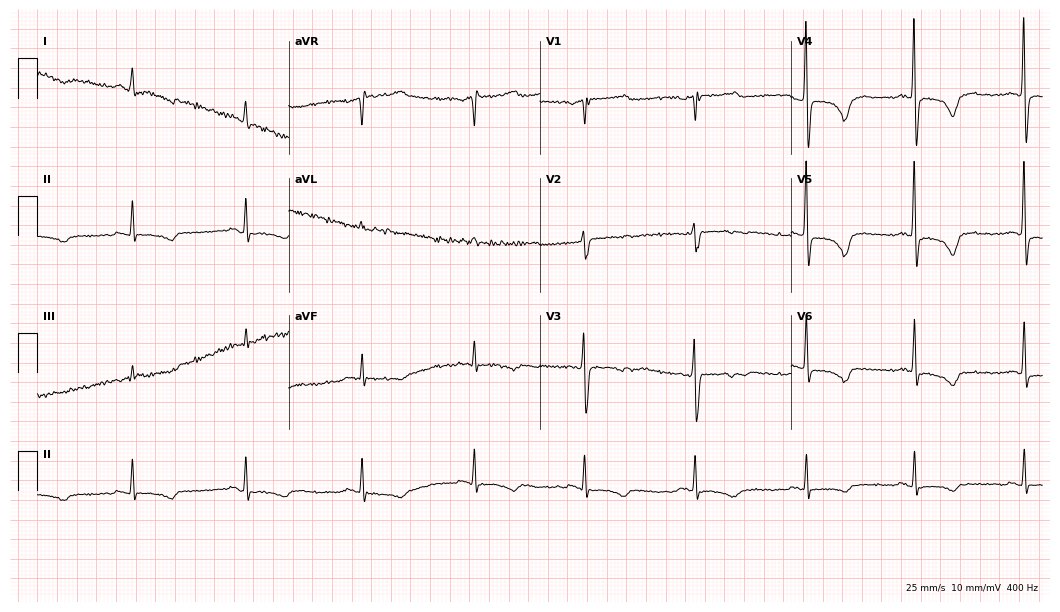
Electrocardiogram, a man, 65 years old. Of the six screened findings (first-degree AV block, right bundle branch block (RBBB), left bundle branch block (LBBB), sinus bradycardia, atrial fibrillation (AF), sinus tachycardia), none is recorded. Other findings, if any, are not listed.